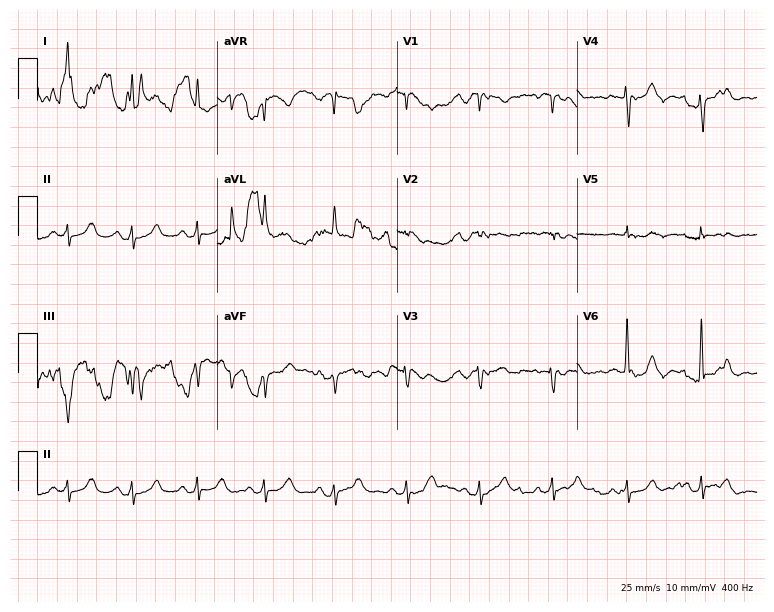
ECG (7.3-second recording at 400 Hz) — a male patient, 75 years old. Screened for six findings — first-degree AV block, right bundle branch block, left bundle branch block, sinus bradycardia, atrial fibrillation, sinus tachycardia — none is recorded.